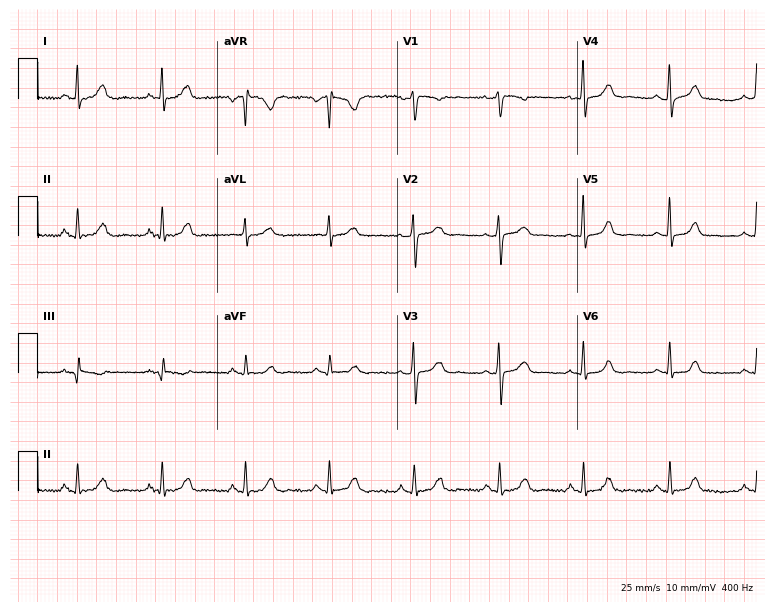
Standard 12-lead ECG recorded from a 58-year-old female patient. Read as a normal ECG.